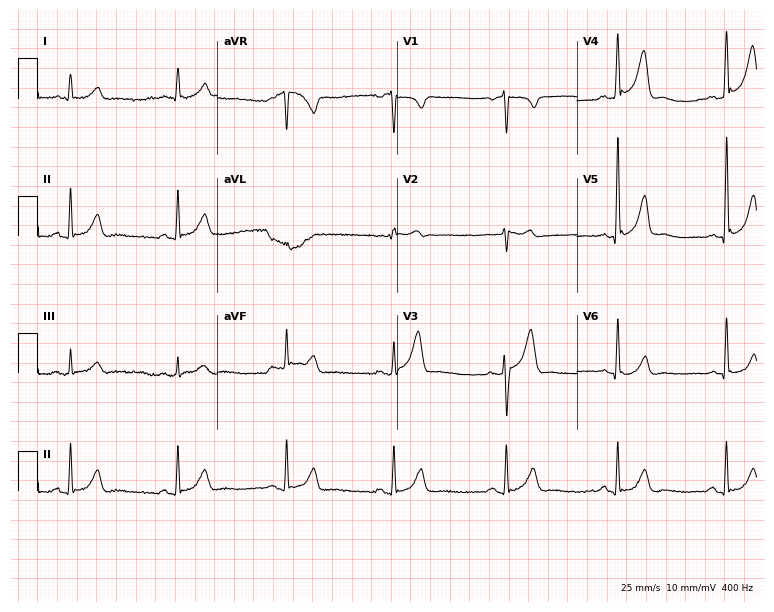
Standard 12-lead ECG recorded from a woman, 53 years old. None of these six findings is recorded: first-degree AV block, right bundle branch block (RBBB), left bundle branch block (LBBB), sinus bradycardia, atrial fibrillation (AF), sinus tachycardia.